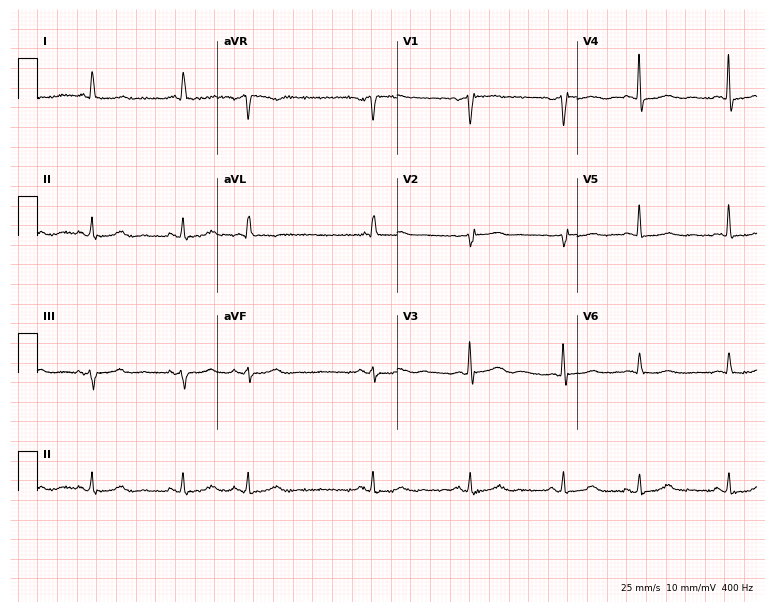
Electrocardiogram, a 77-year-old male. Overall reading on record: normal ECG.